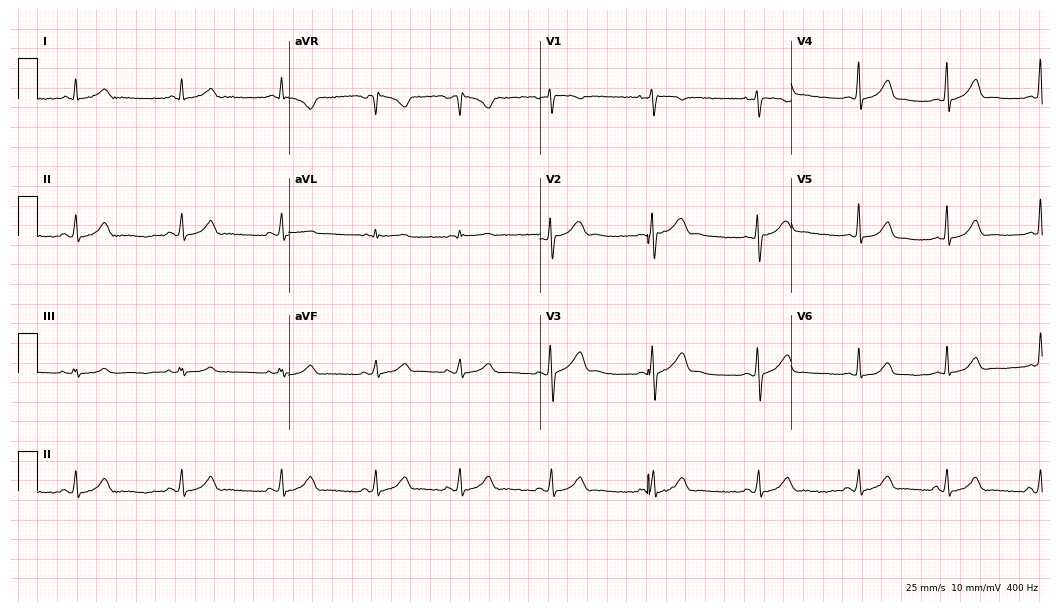
12-lead ECG from a female, 32 years old. No first-degree AV block, right bundle branch block, left bundle branch block, sinus bradycardia, atrial fibrillation or sinus tachycardia recorded for this tracing.